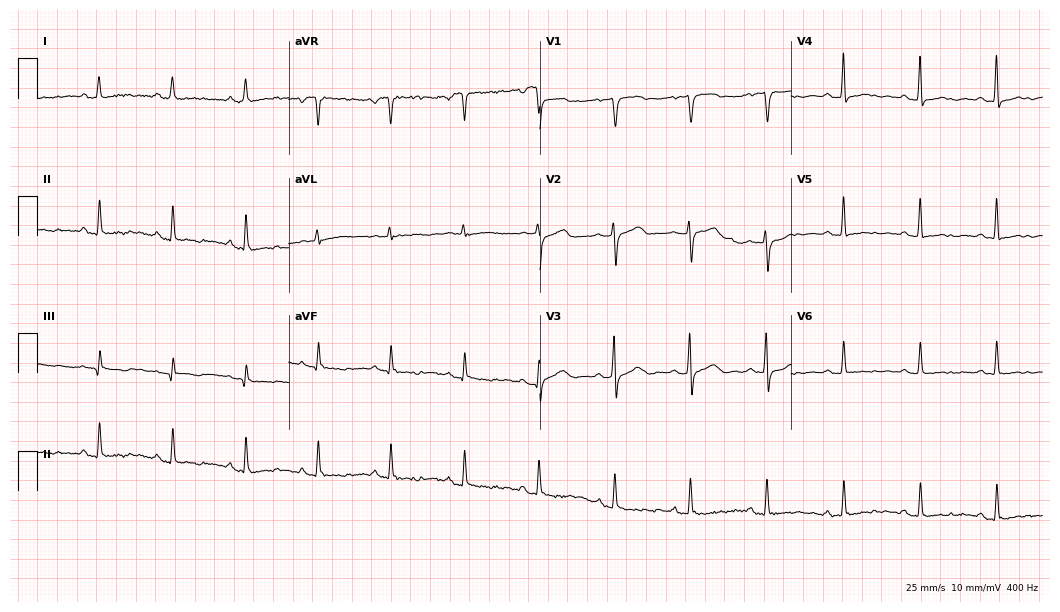
Resting 12-lead electrocardiogram. Patient: a female, 69 years old. None of these six findings is recorded: first-degree AV block, right bundle branch block, left bundle branch block, sinus bradycardia, atrial fibrillation, sinus tachycardia. Other findings, if any, are not listed.